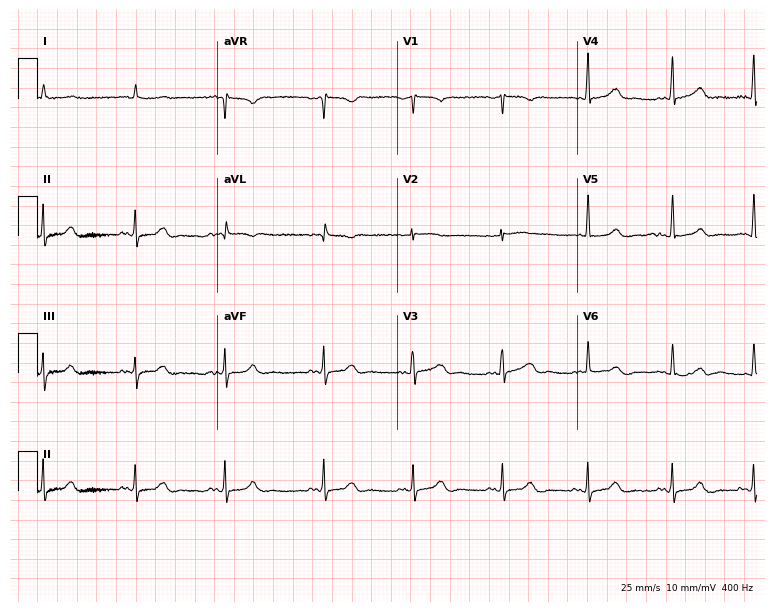
ECG — a woman, 78 years old. Labelled as a normal ECG.